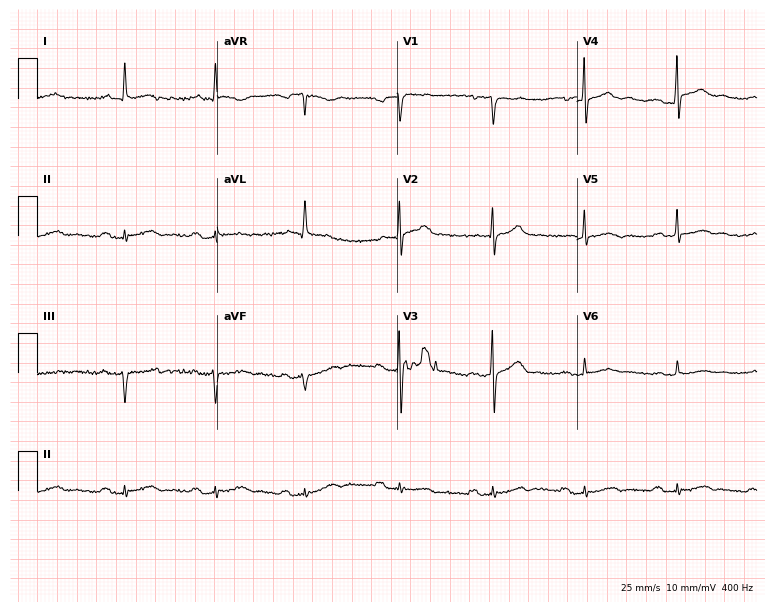
ECG — a 65-year-old male patient. Findings include first-degree AV block.